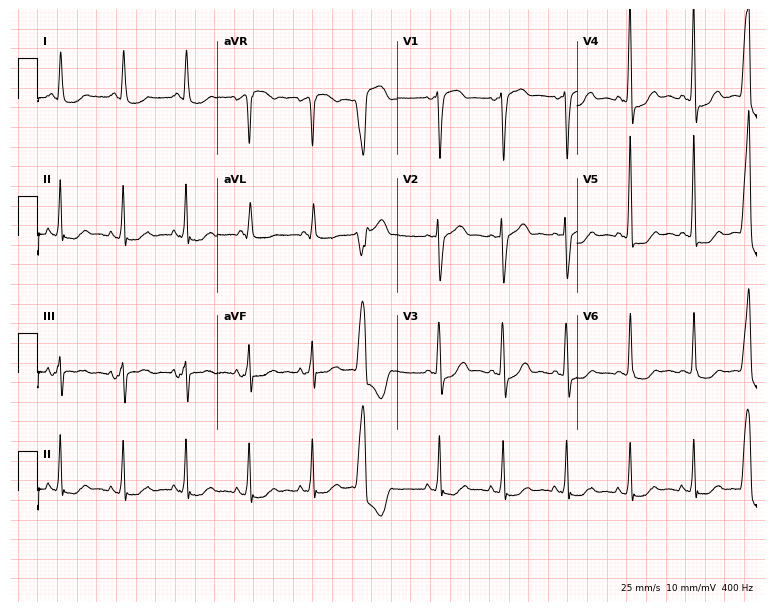
Electrocardiogram, a female, 75 years old. Of the six screened findings (first-degree AV block, right bundle branch block, left bundle branch block, sinus bradycardia, atrial fibrillation, sinus tachycardia), none is recorded.